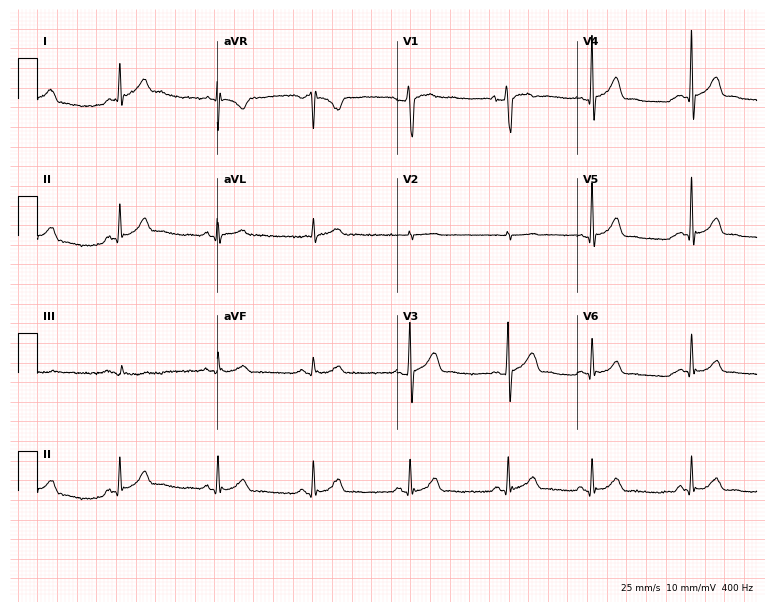
12-lead ECG from a man, 62 years old. Recorded interpretation: within normal limits.